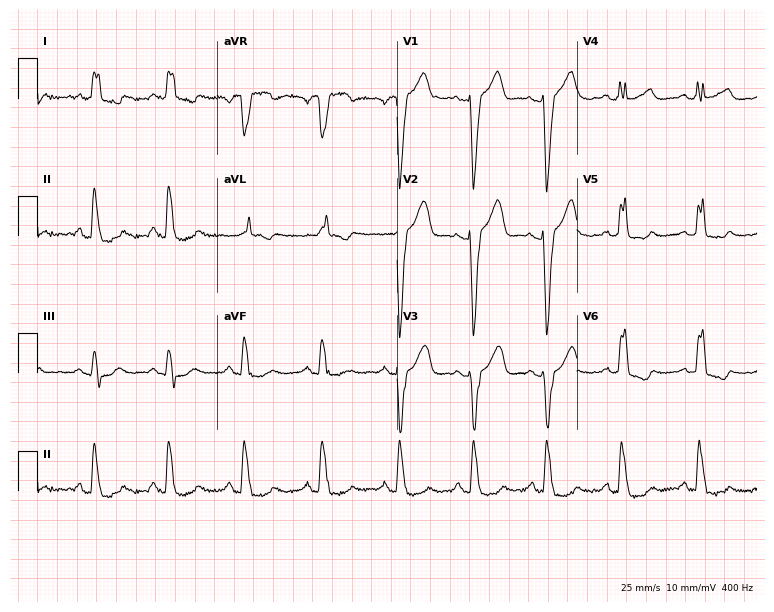
Standard 12-lead ECG recorded from a 50-year-old woman. The tracing shows left bundle branch block (LBBB).